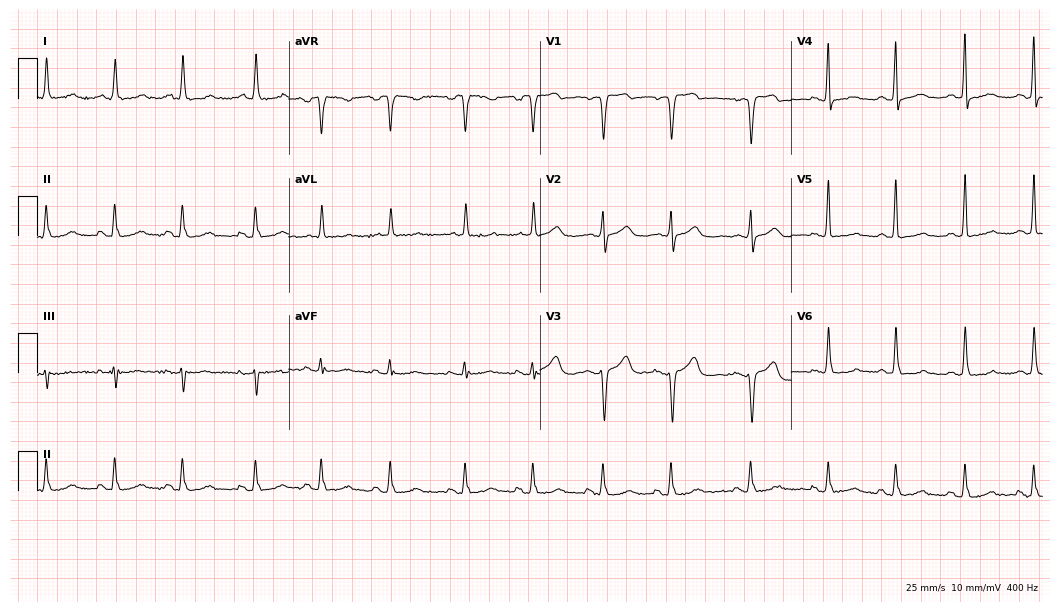
Standard 12-lead ECG recorded from a female patient, 52 years old. None of these six findings is recorded: first-degree AV block, right bundle branch block, left bundle branch block, sinus bradycardia, atrial fibrillation, sinus tachycardia.